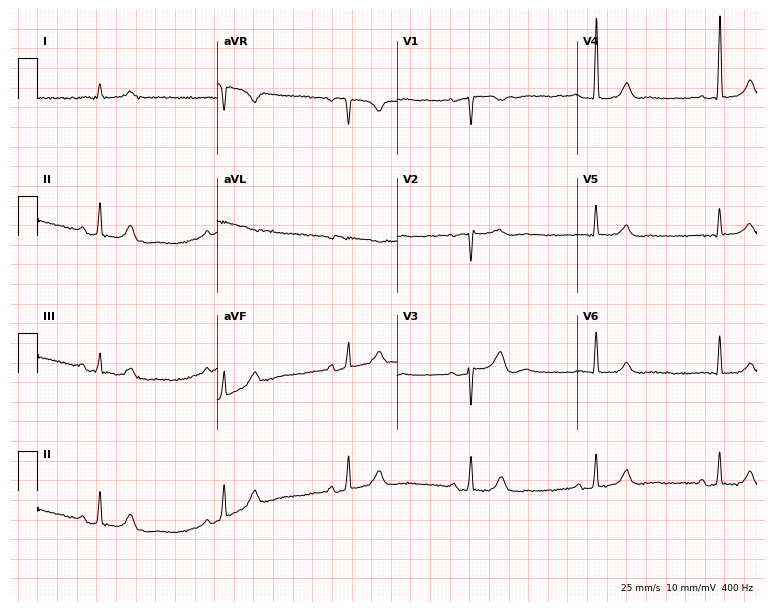
ECG (7.3-second recording at 400 Hz) — a female, 68 years old. Findings include sinus bradycardia (a sinus rate of 50 beats per minute or less).